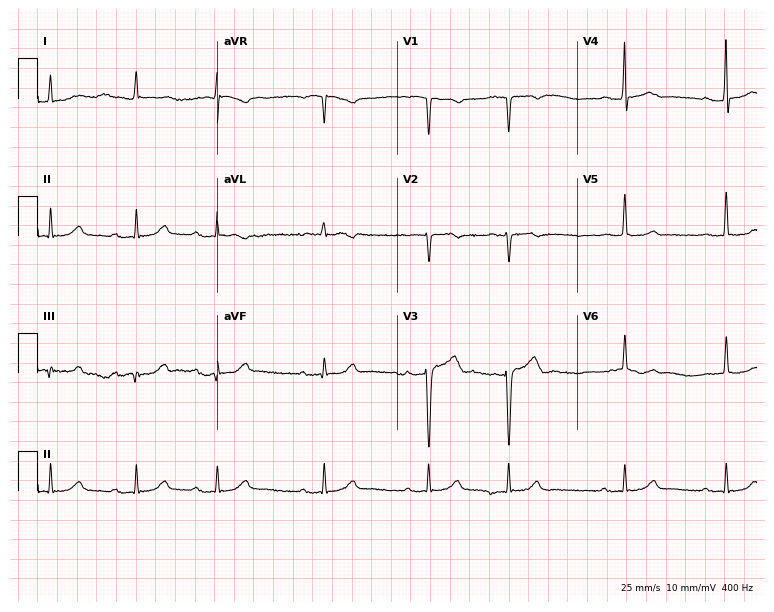
12-lead ECG (7.3-second recording at 400 Hz) from a male patient, 83 years old. Findings include first-degree AV block.